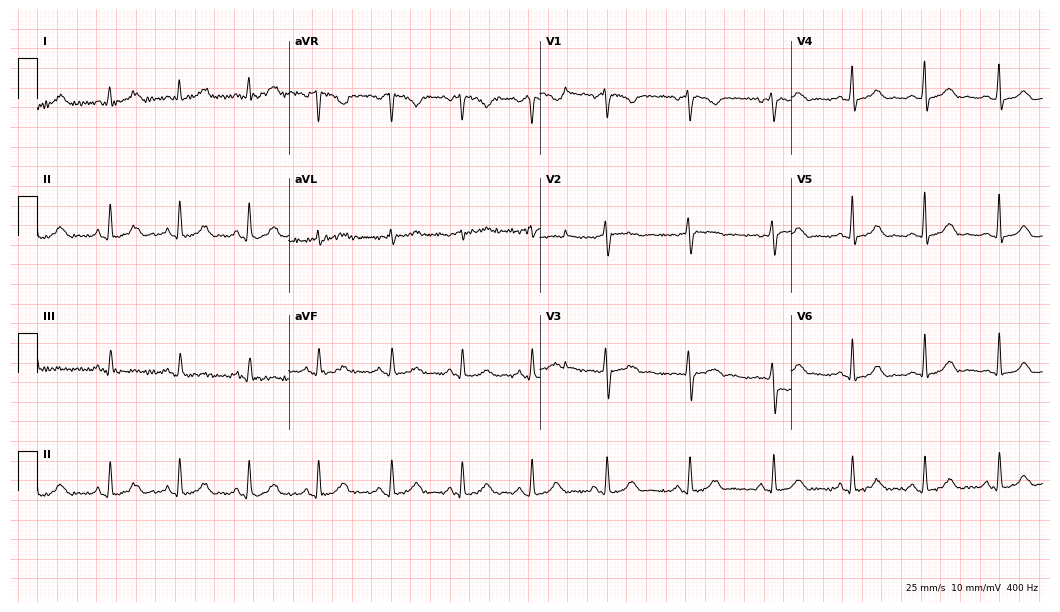
Standard 12-lead ECG recorded from a 31-year-old female patient (10.2-second recording at 400 Hz). Read as a normal ECG.